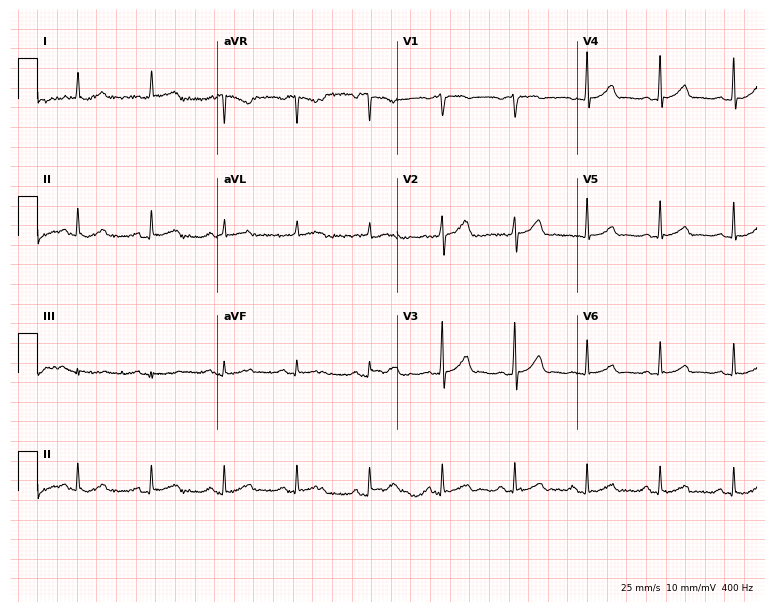
Electrocardiogram (7.3-second recording at 400 Hz), a 54-year-old man. Overall reading on record: normal ECG.